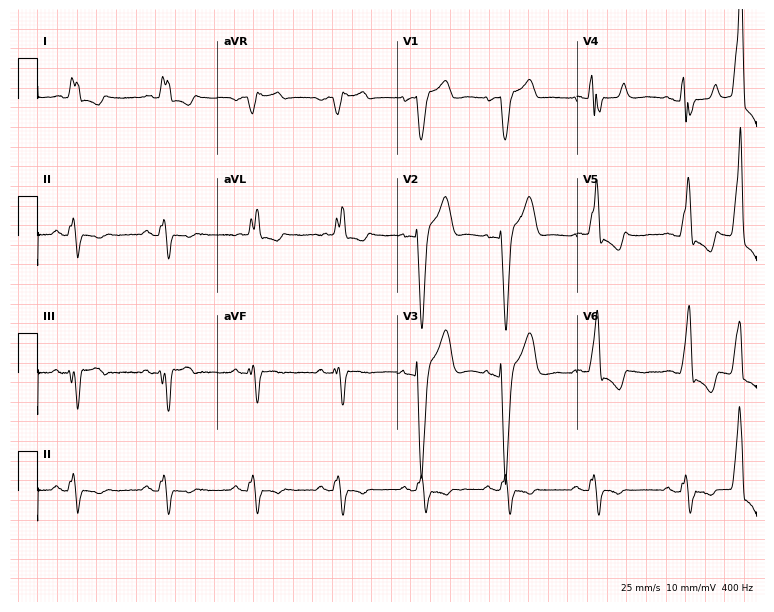
12-lead ECG from an 83-year-old woman. Shows left bundle branch block.